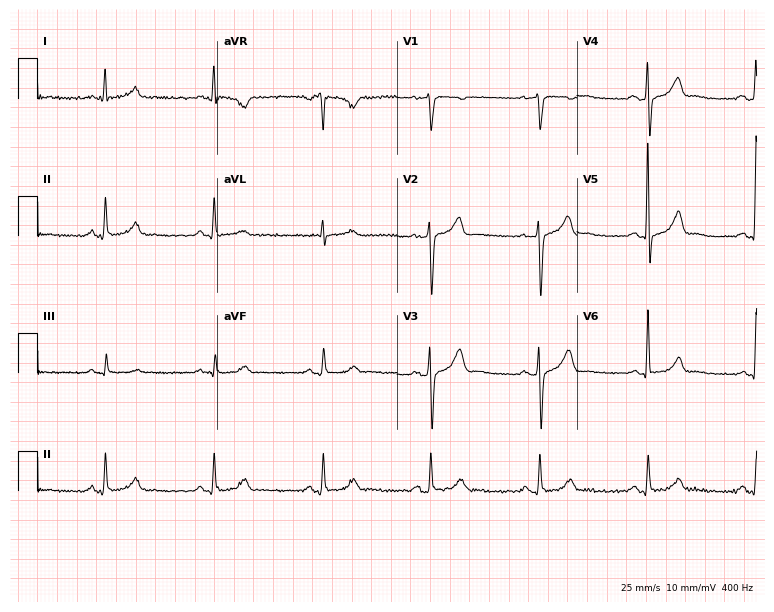
ECG (7.3-second recording at 400 Hz) — a 66-year-old man. Screened for six findings — first-degree AV block, right bundle branch block, left bundle branch block, sinus bradycardia, atrial fibrillation, sinus tachycardia — none is recorded. Findings outside these six are not listed.